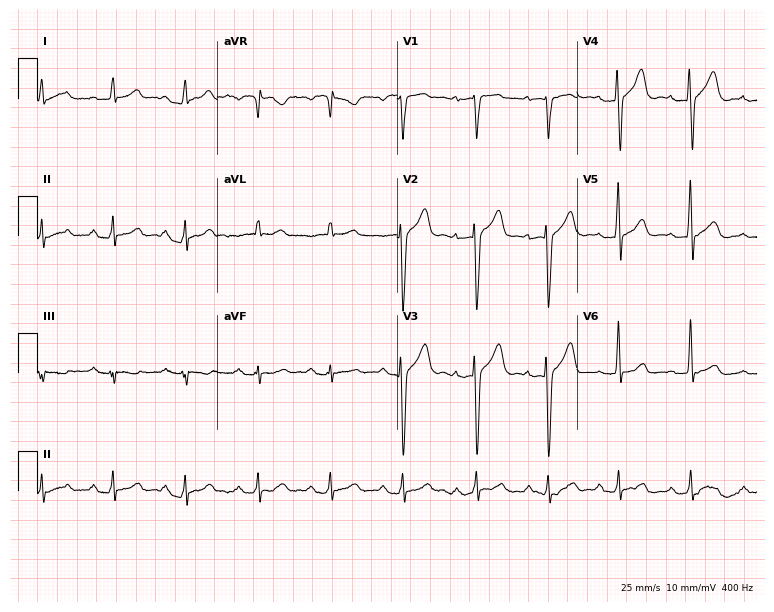
12-lead ECG (7.3-second recording at 400 Hz) from a 51-year-old man. Labelled as a normal ECG.